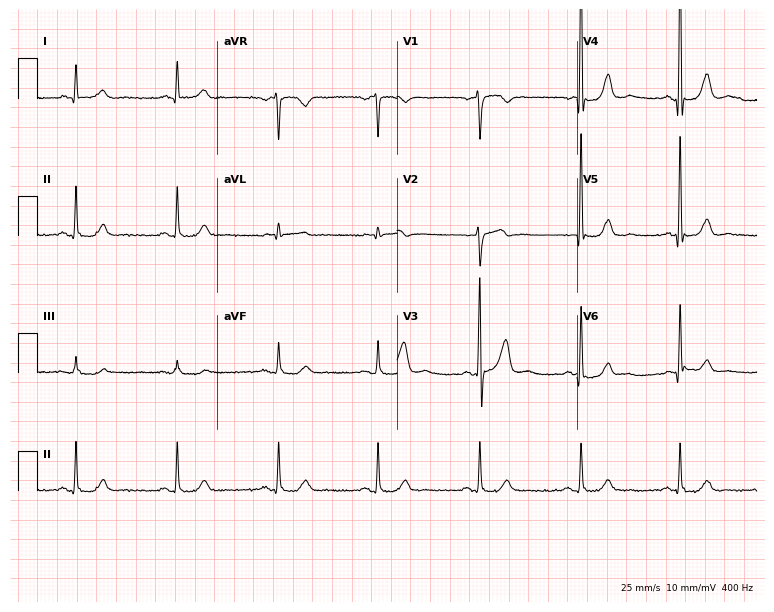
ECG — a 47-year-old male. Screened for six findings — first-degree AV block, right bundle branch block, left bundle branch block, sinus bradycardia, atrial fibrillation, sinus tachycardia — none is recorded. Only these six findings were labelled.